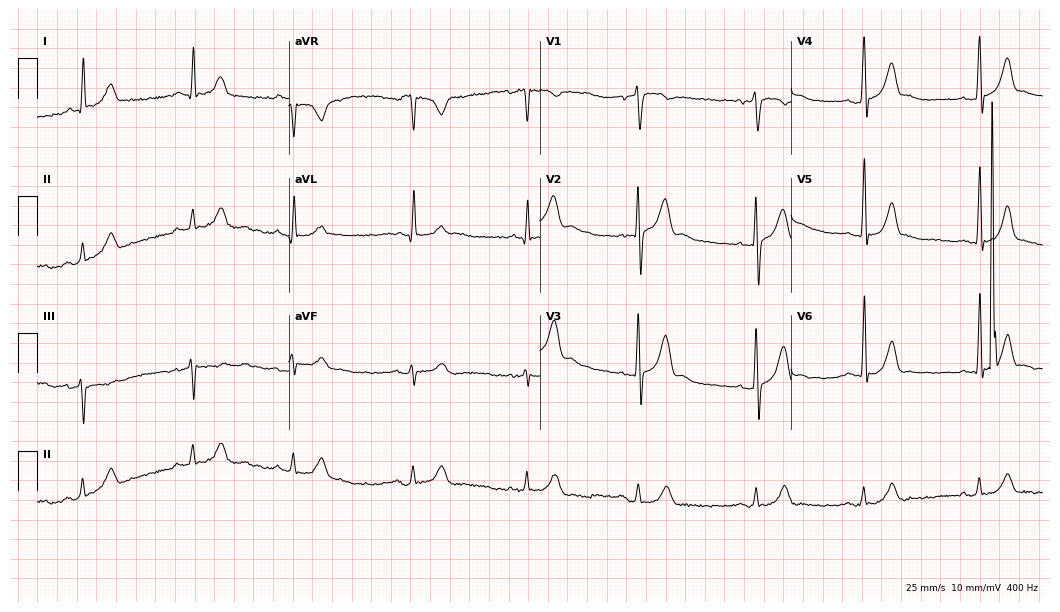
Resting 12-lead electrocardiogram. Patient: a 32-year-old male. Read as a normal ECG.